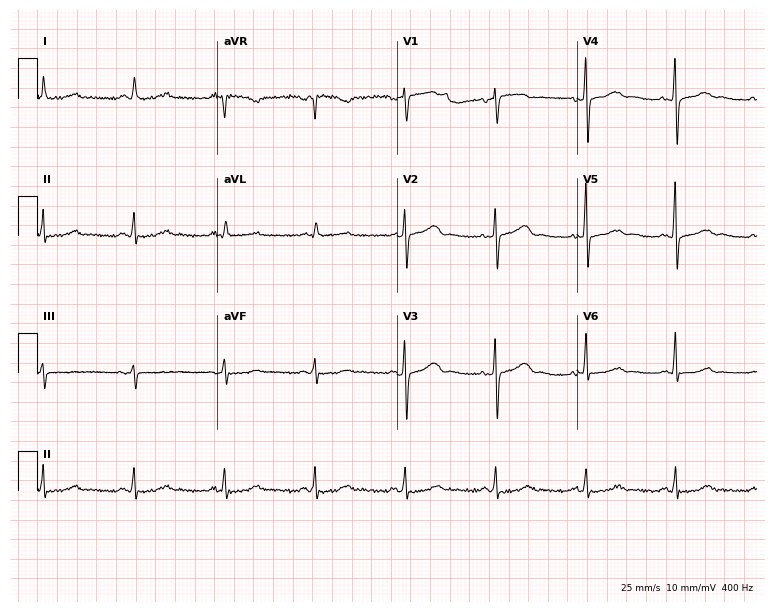
12-lead ECG from a female patient, 61 years old (7.3-second recording at 400 Hz). Recorded interpretation: within normal limits.